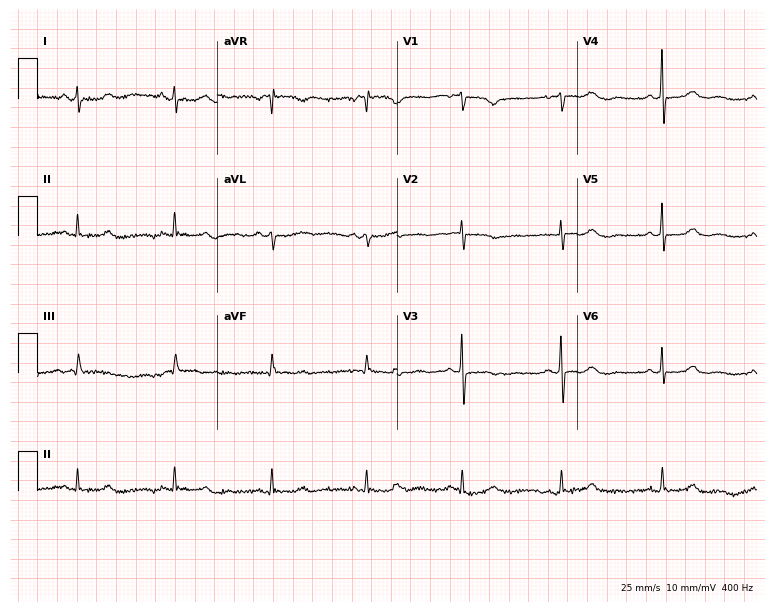
ECG (7.3-second recording at 400 Hz) — a woman, 69 years old. Screened for six findings — first-degree AV block, right bundle branch block, left bundle branch block, sinus bradycardia, atrial fibrillation, sinus tachycardia — none is recorded.